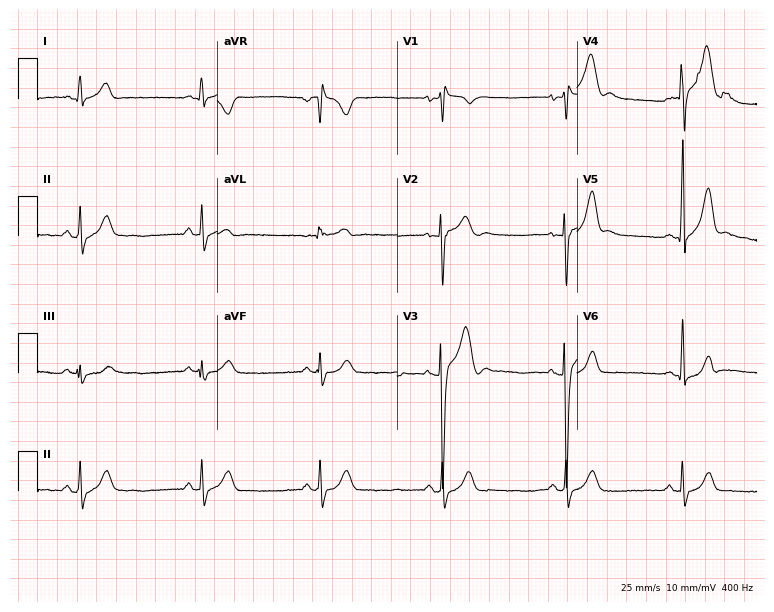
Electrocardiogram, a male, 17 years old. Of the six screened findings (first-degree AV block, right bundle branch block (RBBB), left bundle branch block (LBBB), sinus bradycardia, atrial fibrillation (AF), sinus tachycardia), none is recorded.